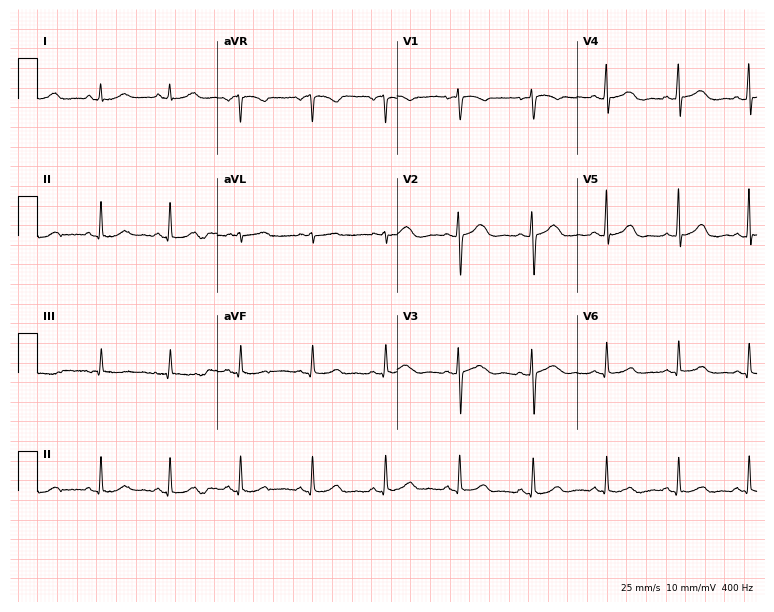
12-lead ECG from a female, 45 years old. Labelled as a normal ECG.